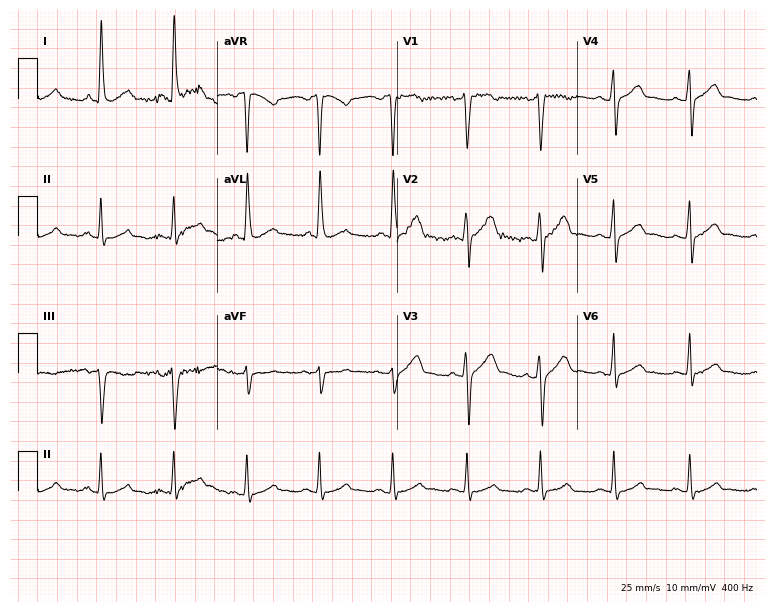
Resting 12-lead electrocardiogram. Patient: a male, 43 years old. Read as a normal ECG.